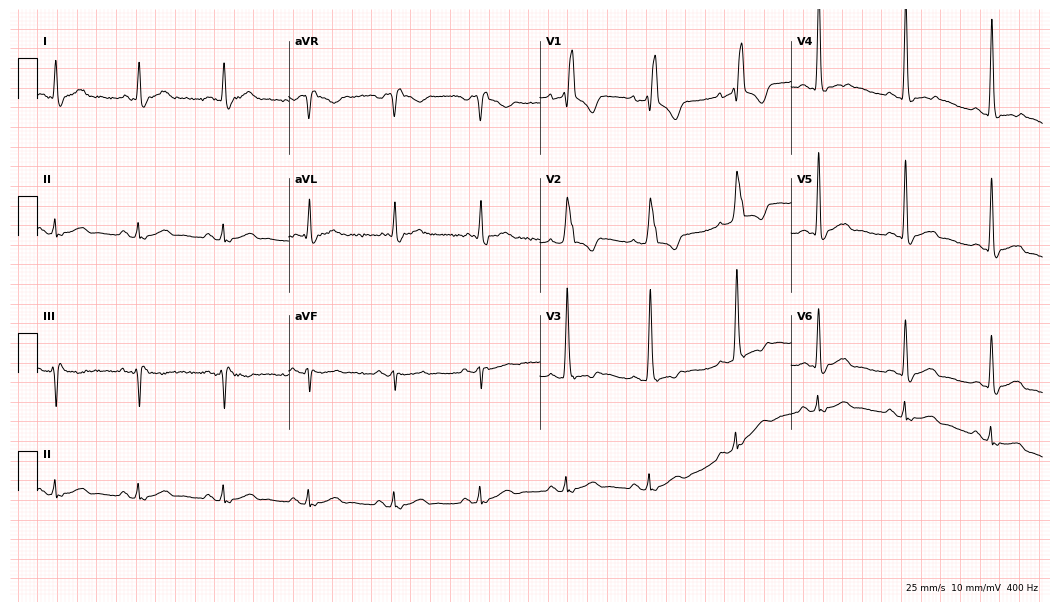
Resting 12-lead electrocardiogram. Patient: a male, 82 years old. The tracing shows right bundle branch block (RBBB).